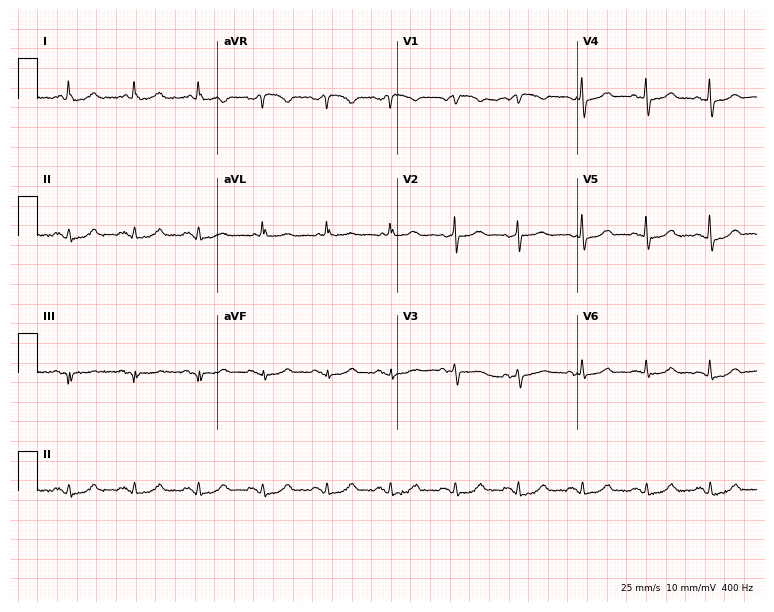
Standard 12-lead ECG recorded from an 81-year-old woman. None of these six findings is recorded: first-degree AV block, right bundle branch block (RBBB), left bundle branch block (LBBB), sinus bradycardia, atrial fibrillation (AF), sinus tachycardia. Only these six findings were labelled.